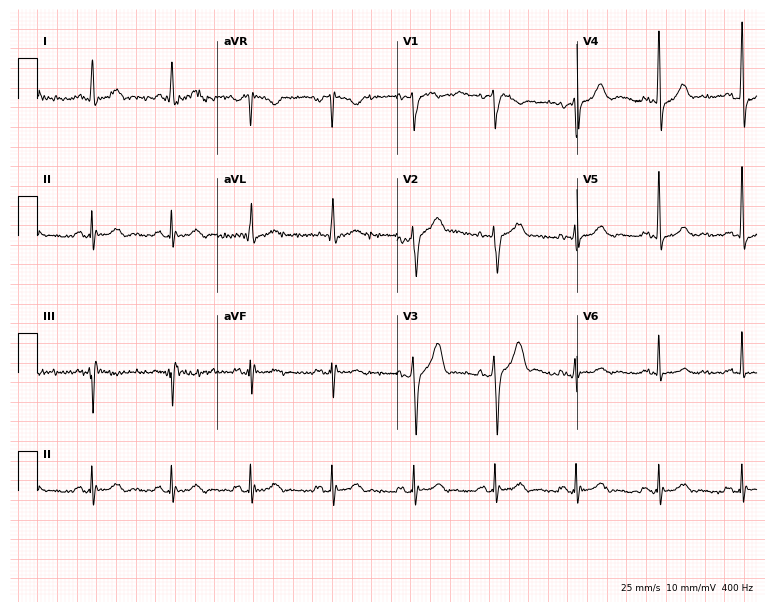
Standard 12-lead ECG recorded from a 51-year-old male. Read as a normal ECG.